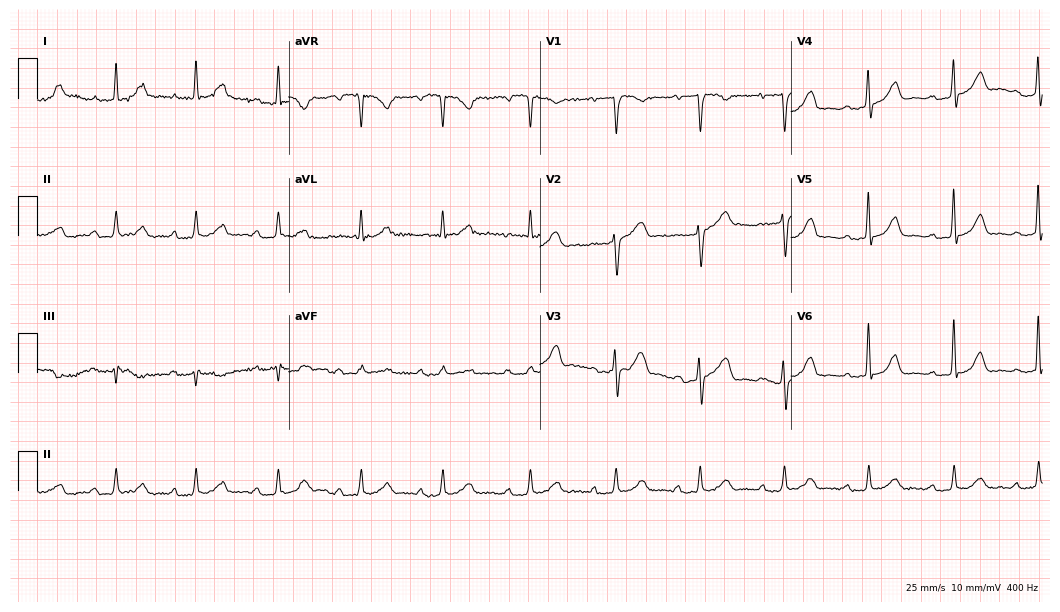
Electrocardiogram (10.2-second recording at 400 Hz), a 60-year-old female patient. Interpretation includes first-degree AV block.